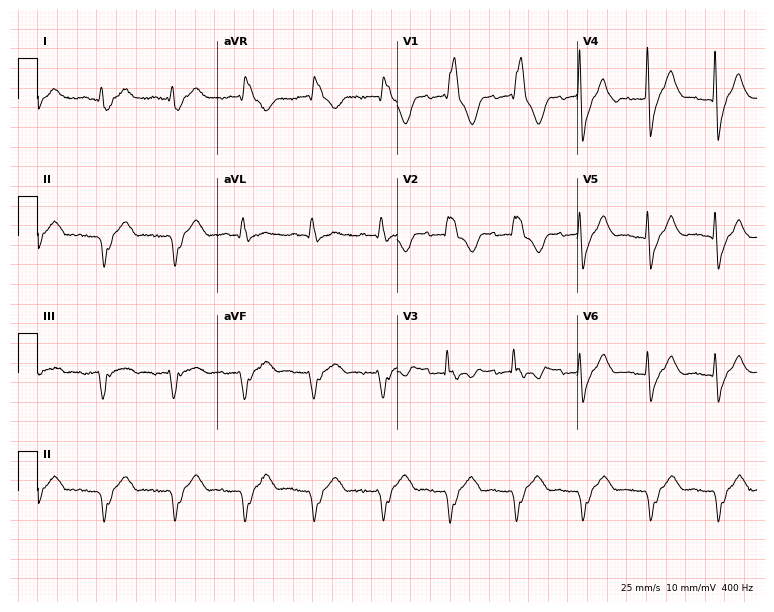
12-lead ECG from a 74-year-old man. No first-degree AV block, right bundle branch block (RBBB), left bundle branch block (LBBB), sinus bradycardia, atrial fibrillation (AF) or sinus tachycardia recorded for this tracing.